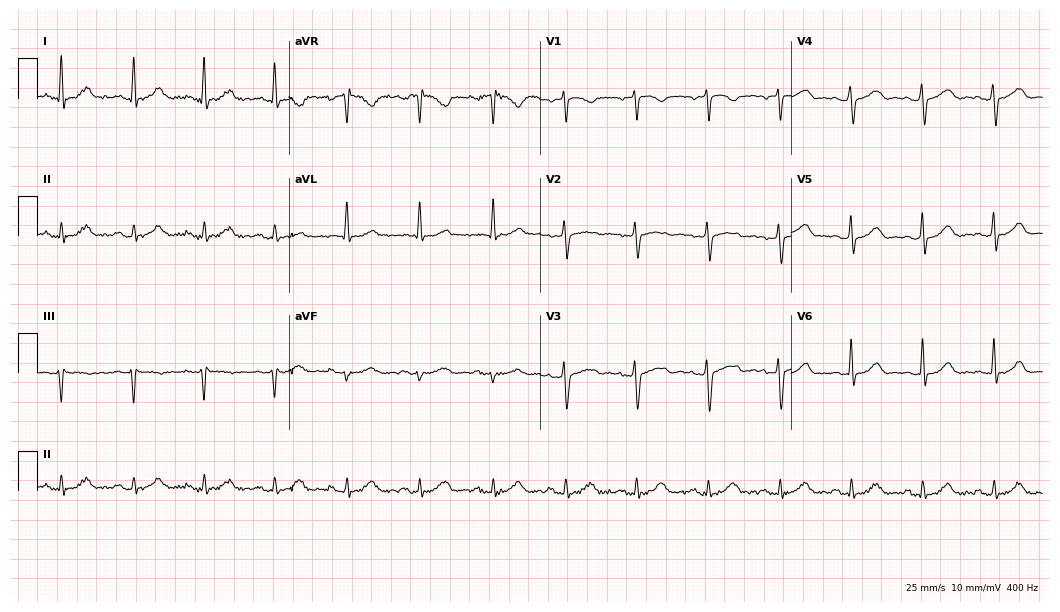
ECG — a female patient, 59 years old. Screened for six findings — first-degree AV block, right bundle branch block, left bundle branch block, sinus bradycardia, atrial fibrillation, sinus tachycardia — none is recorded.